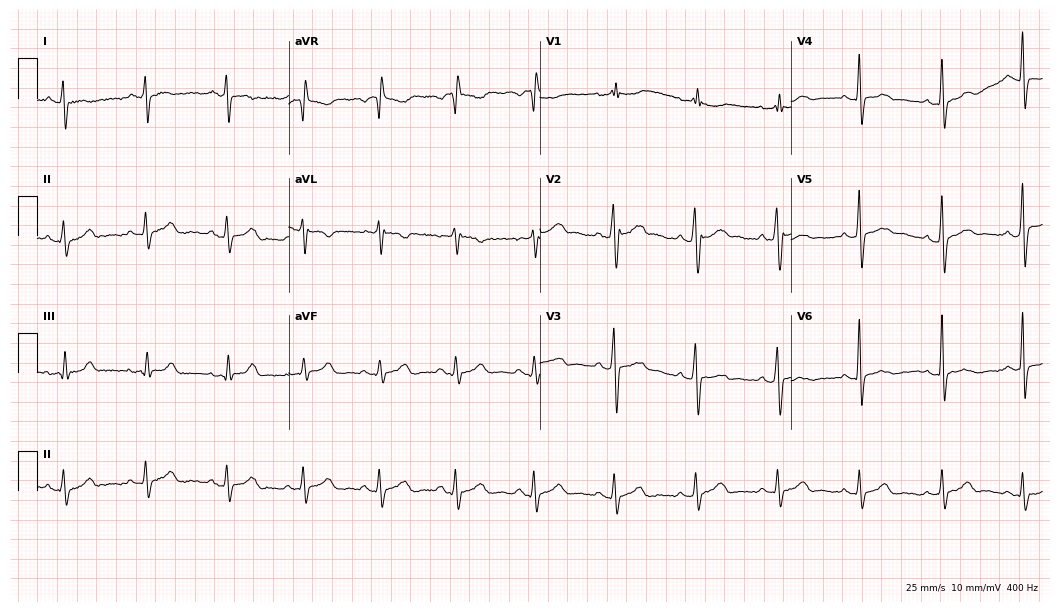
Resting 12-lead electrocardiogram (10.2-second recording at 400 Hz). Patient: a male, 43 years old. None of these six findings is recorded: first-degree AV block, right bundle branch block, left bundle branch block, sinus bradycardia, atrial fibrillation, sinus tachycardia.